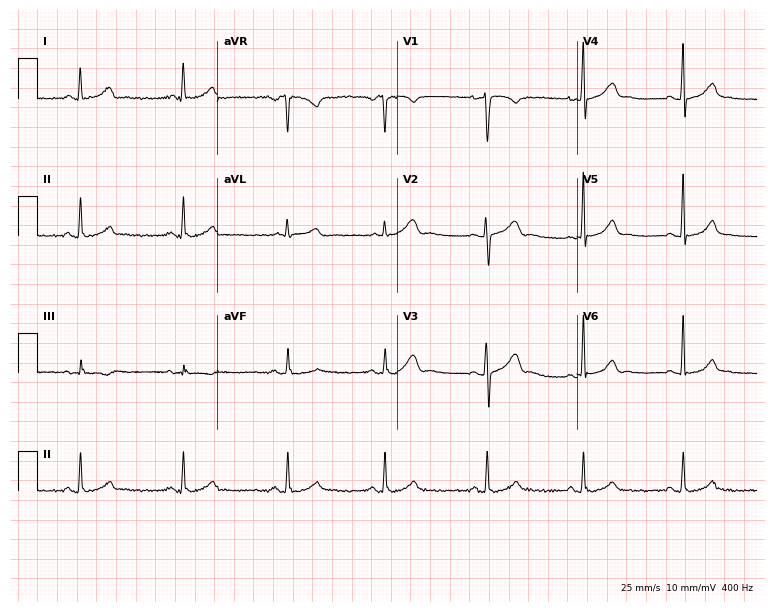
Standard 12-lead ECG recorded from a woman, 30 years old. Read as a normal ECG.